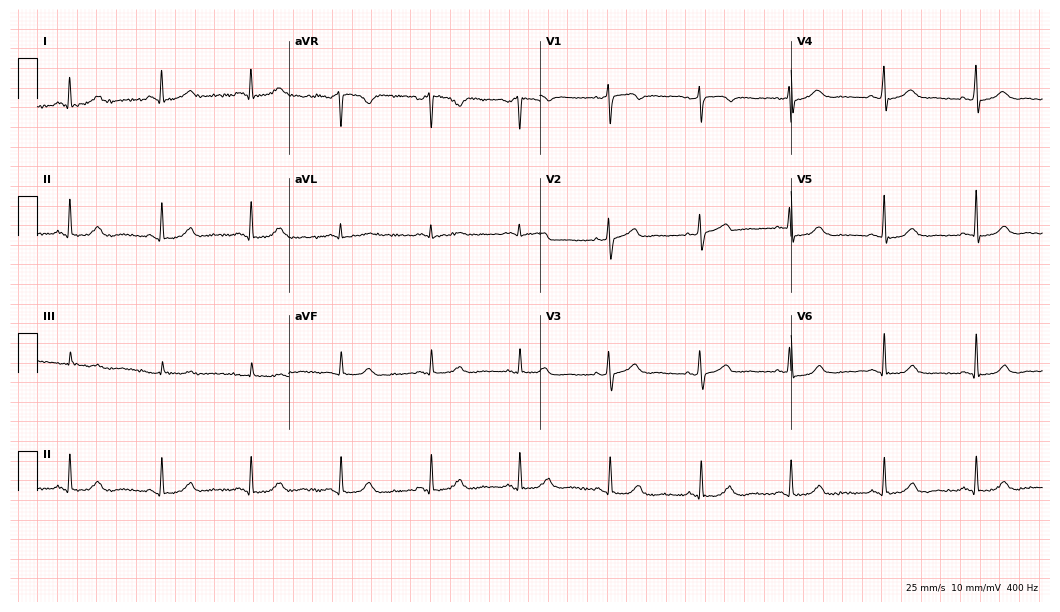
12-lead ECG from a 38-year-old woman (10.2-second recording at 400 Hz). Recorded interpretation: within normal limits.